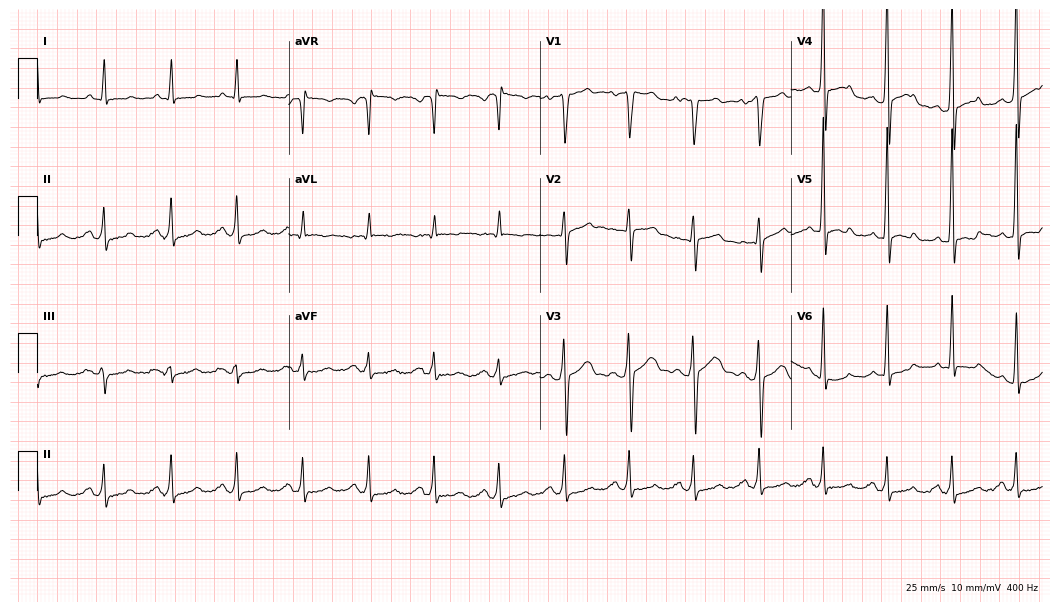
Standard 12-lead ECG recorded from a 67-year-old male (10.2-second recording at 400 Hz). Read as a normal ECG.